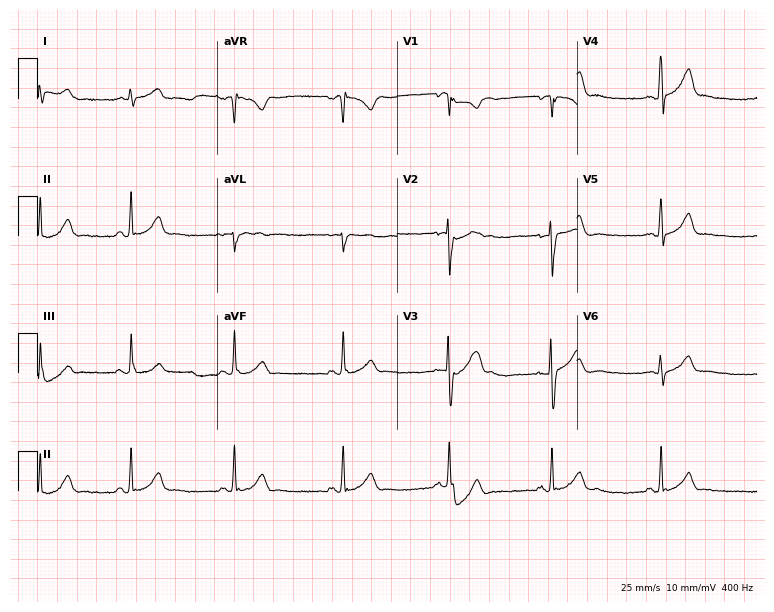
12-lead ECG from a male patient, 17 years old (7.3-second recording at 400 Hz). Recorded interpretation: within normal limits.